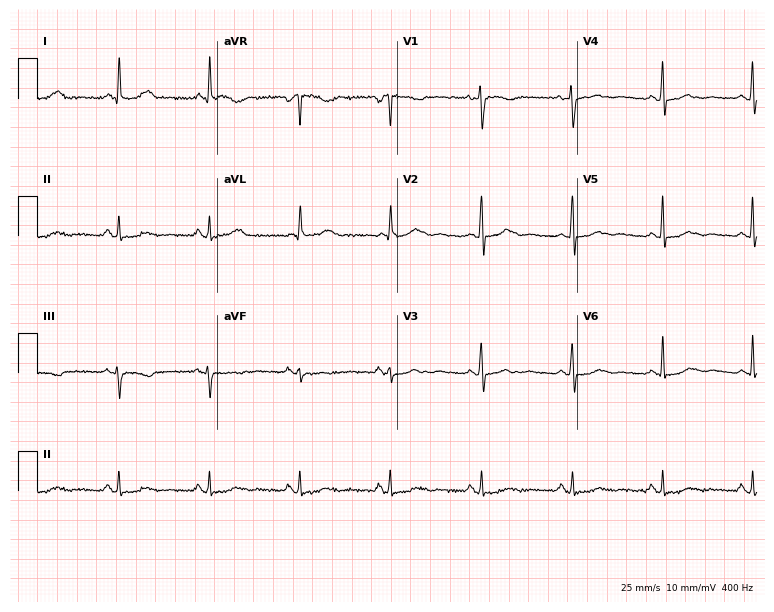
12-lead ECG (7.3-second recording at 400 Hz) from a 50-year-old woman. Screened for six findings — first-degree AV block, right bundle branch block, left bundle branch block, sinus bradycardia, atrial fibrillation, sinus tachycardia — none is recorded. Other findings, if any, are not listed.